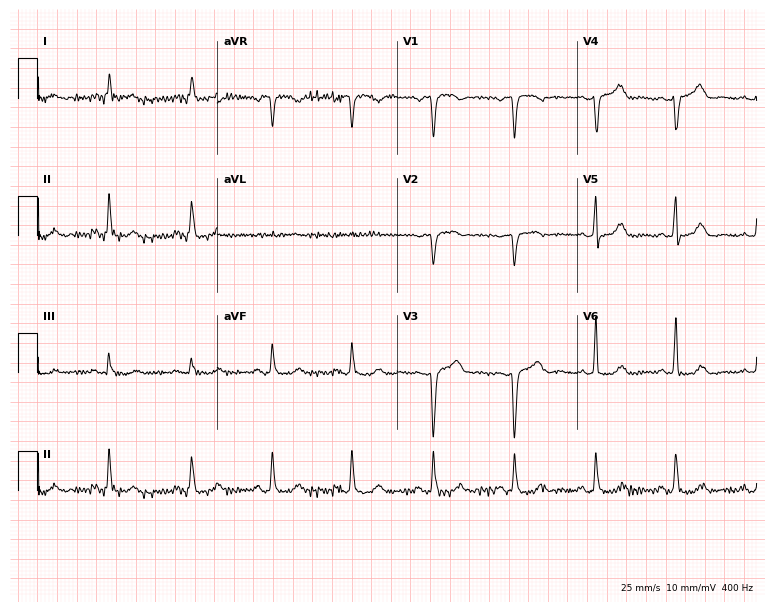
12-lead ECG from a 73-year-old woman (7.3-second recording at 400 Hz). No first-degree AV block, right bundle branch block, left bundle branch block, sinus bradycardia, atrial fibrillation or sinus tachycardia recorded for this tracing. Only these six findings were labelled.